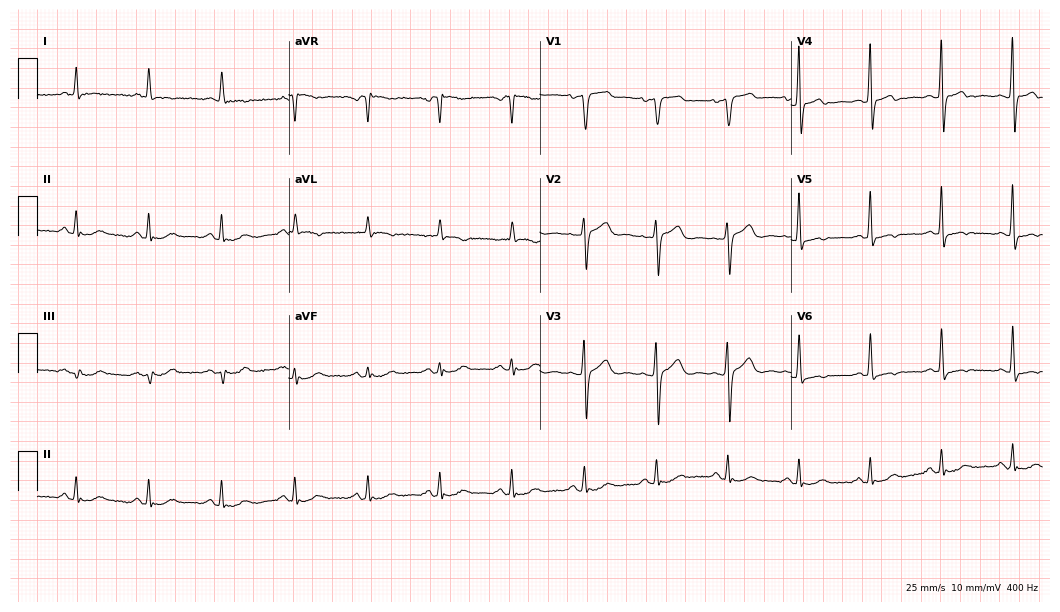
12-lead ECG from an 81-year-old female patient (10.2-second recording at 400 Hz). No first-degree AV block, right bundle branch block, left bundle branch block, sinus bradycardia, atrial fibrillation or sinus tachycardia recorded for this tracing. Other findings, if any, are not listed.